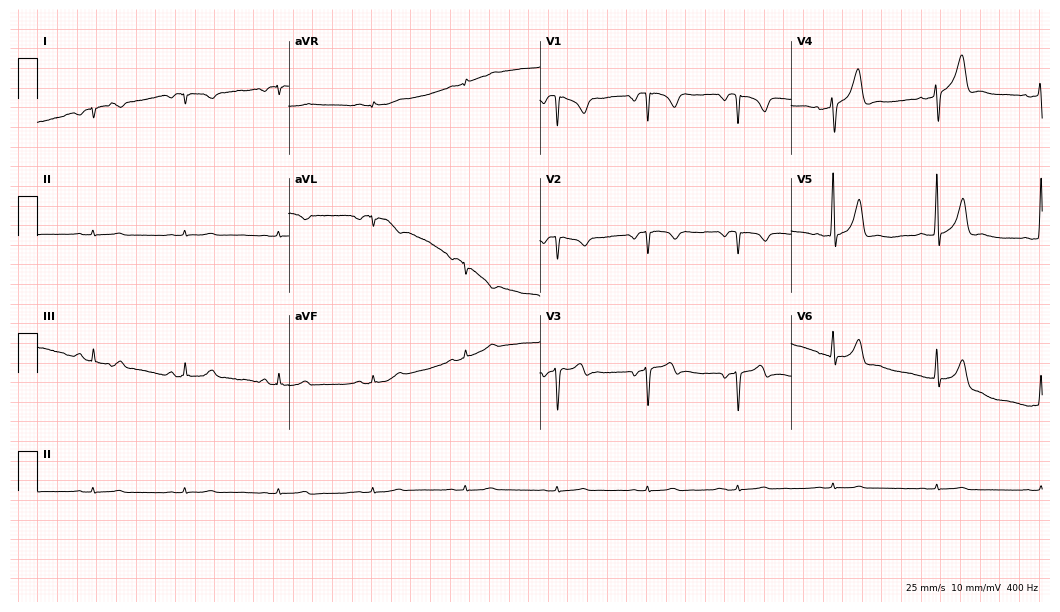
Resting 12-lead electrocardiogram (10.2-second recording at 400 Hz). Patient: a man, 54 years old. None of these six findings is recorded: first-degree AV block, right bundle branch block, left bundle branch block, sinus bradycardia, atrial fibrillation, sinus tachycardia. Findings outside these six are not listed.